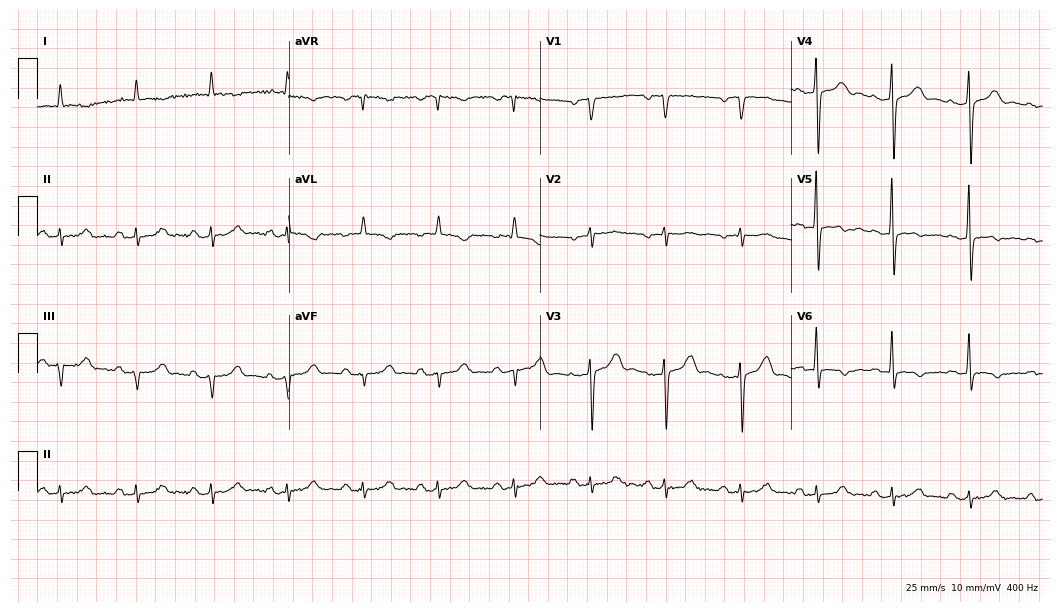
Resting 12-lead electrocardiogram (10.2-second recording at 400 Hz). Patient: a male, 75 years old. None of these six findings is recorded: first-degree AV block, right bundle branch block (RBBB), left bundle branch block (LBBB), sinus bradycardia, atrial fibrillation (AF), sinus tachycardia. Findings outside these six are not listed.